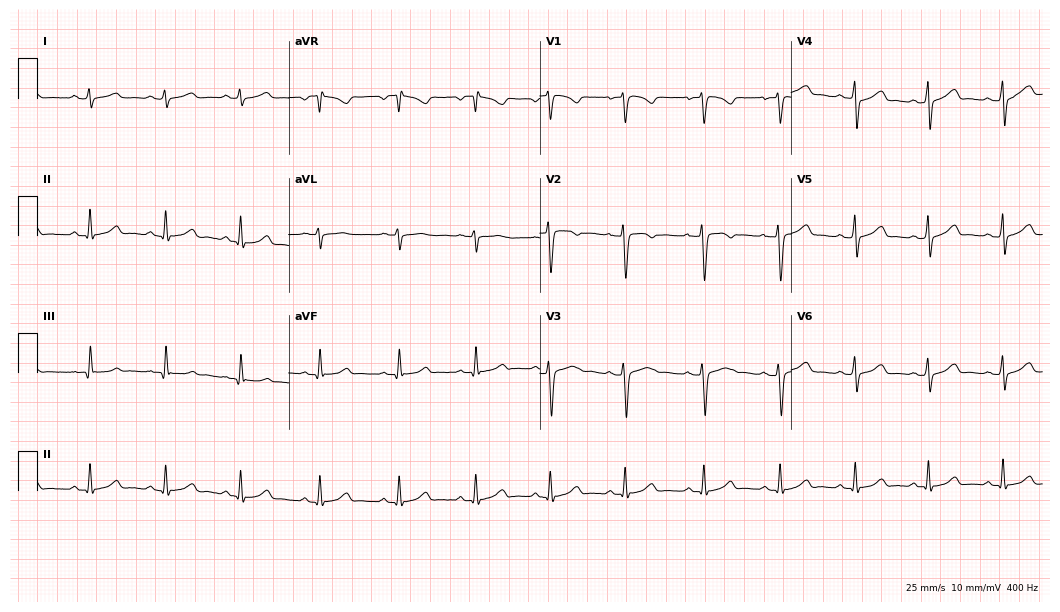
Resting 12-lead electrocardiogram (10.2-second recording at 400 Hz). Patient: a woman, 28 years old. Read as a normal ECG.